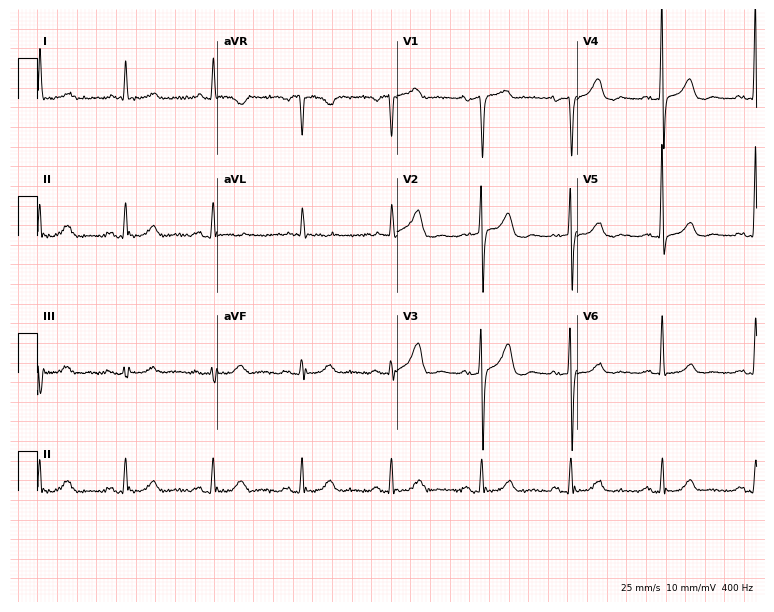
Standard 12-lead ECG recorded from a woman, 70 years old. Read as a normal ECG.